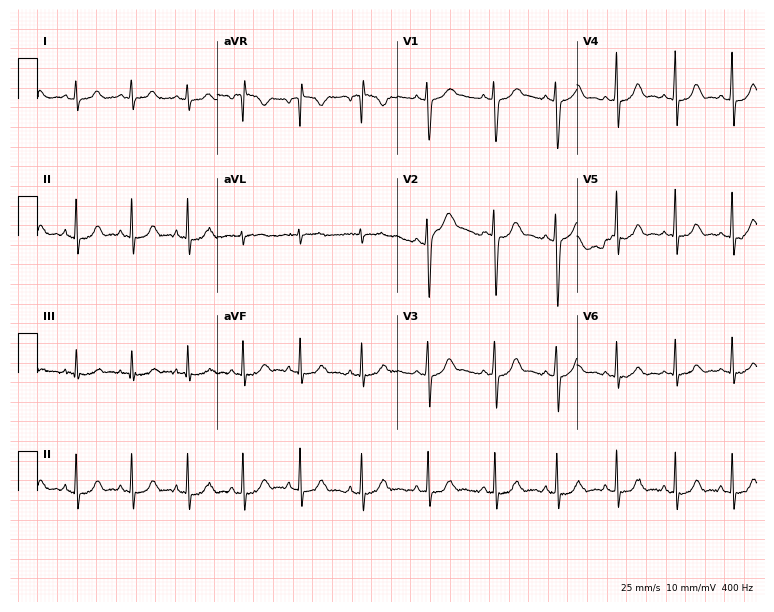
12-lead ECG from an 18-year-old female. No first-degree AV block, right bundle branch block, left bundle branch block, sinus bradycardia, atrial fibrillation or sinus tachycardia recorded for this tracing.